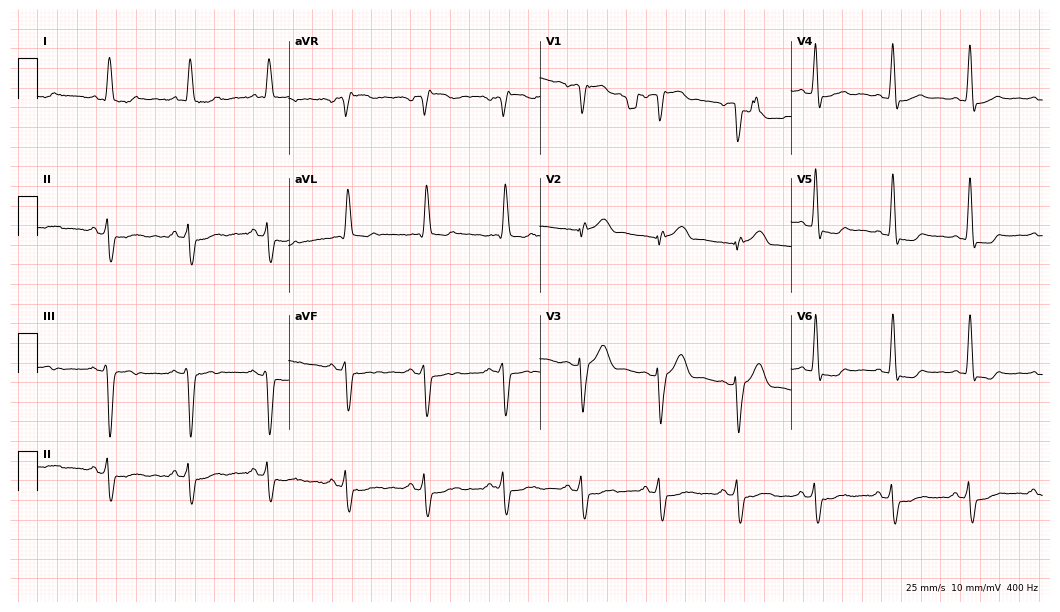
12-lead ECG from a male patient, 56 years old. No first-degree AV block, right bundle branch block, left bundle branch block, sinus bradycardia, atrial fibrillation or sinus tachycardia recorded for this tracing.